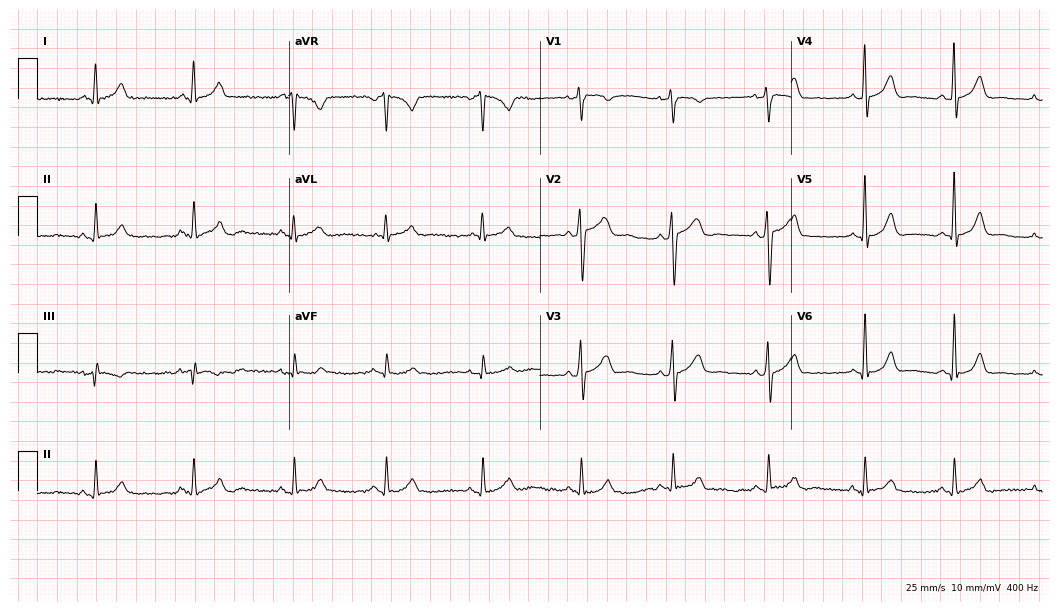
Resting 12-lead electrocardiogram (10.2-second recording at 400 Hz). Patient: a 29-year-old male. None of these six findings is recorded: first-degree AV block, right bundle branch block, left bundle branch block, sinus bradycardia, atrial fibrillation, sinus tachycardia. Findings outside these six are not listed.